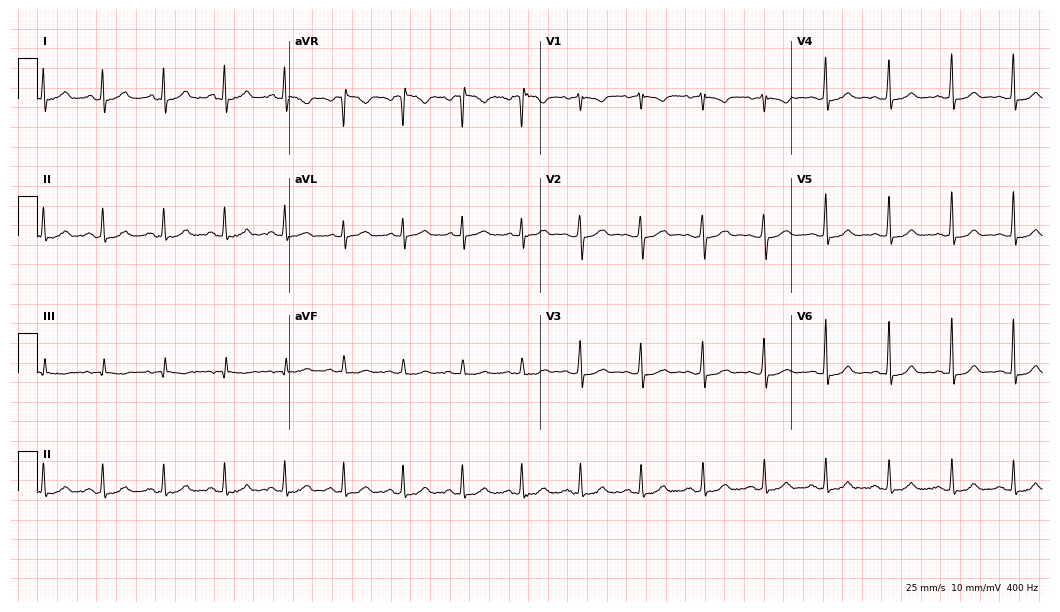
Resting 12-lead electrocardiogram. Patient: a female, 44 years old. Read as a normal ECG.